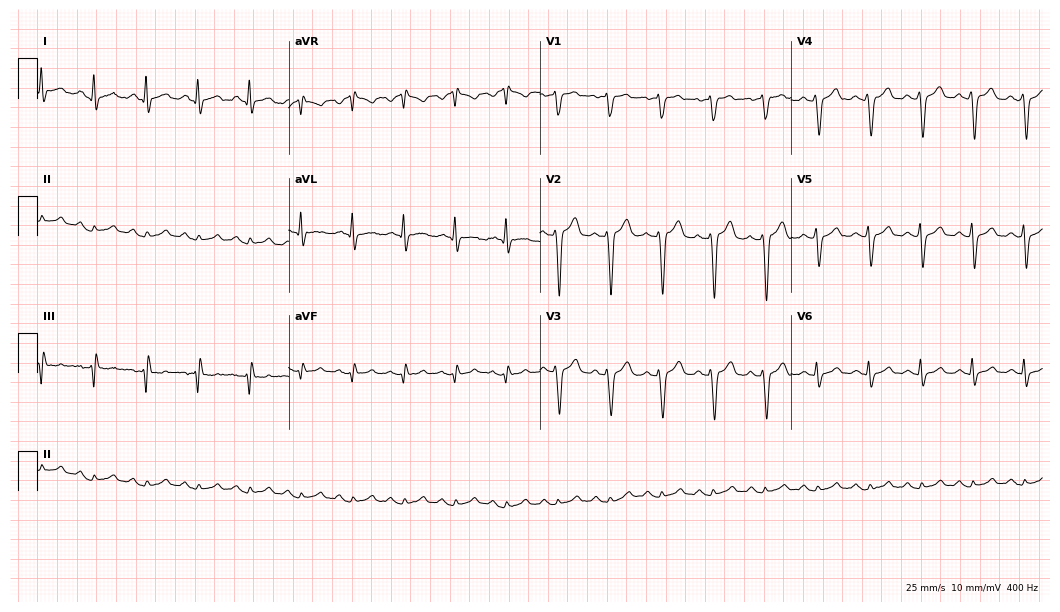
12-lead ECG from a male, 41 years old (10.2-second recording at 400 Hz). Shows sinus tachycardia (a sinus rate of 100 beats per minute or more).